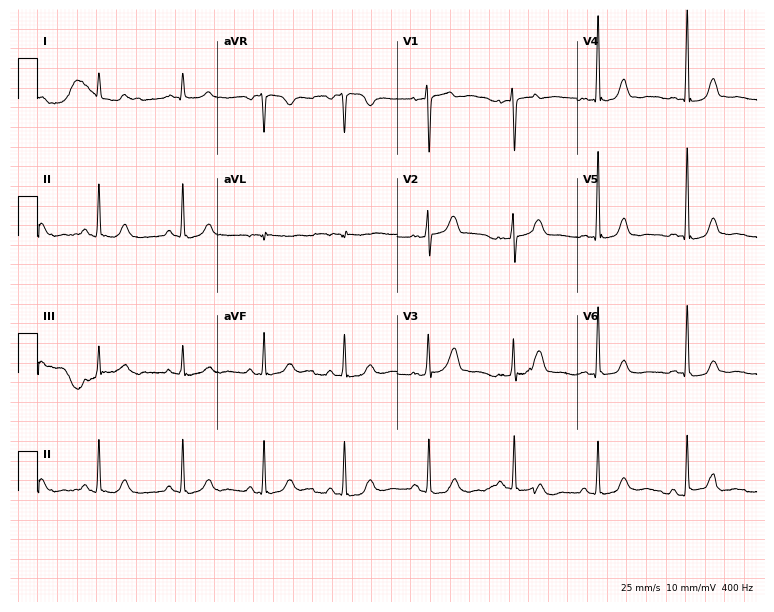
Electrocardiogram, a female patient, 41 years old. Of the six screened findings (first-degree AV block, right bundle branch block (RBBB), left bundle branch block (LBBB), sinus bradycardia, atrial fibrillation (AF), sinus tachycardia), none is recorded. Findings outside these six are not listed.